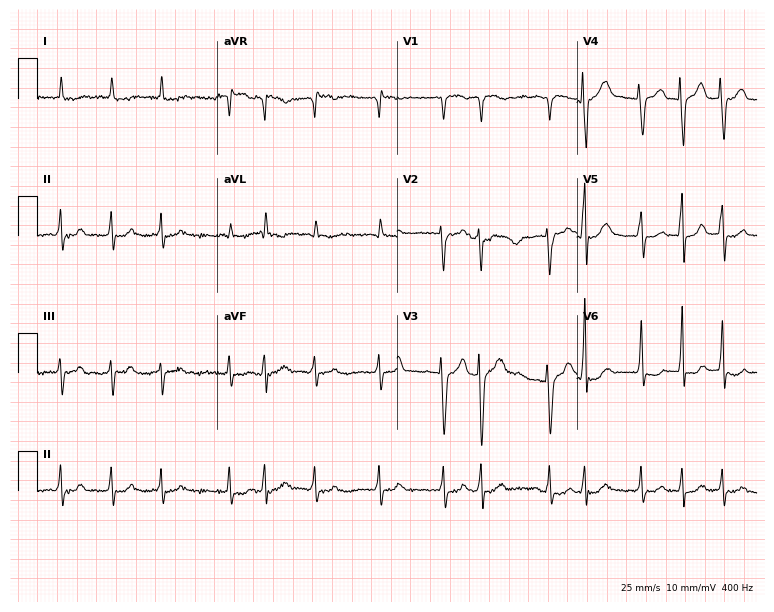
12-lead ECG from a female, 69 years old. Findings include atrial fibrillation.